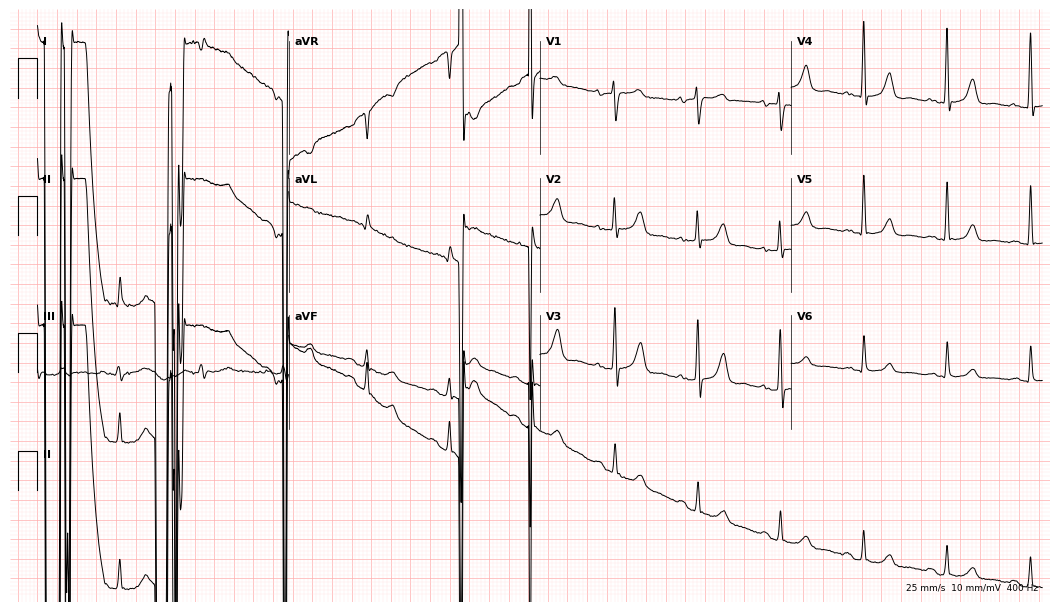
12-lead ECG from a male patient, 85 years old. No first-degree AV block, right bundle branch block (RBBB), left bundle branch block (LBBB), sinus bradycardia, atrial fibrillation (AF) or sinus tachycardia recorded for this tracing. Findings outside these six are not listed.